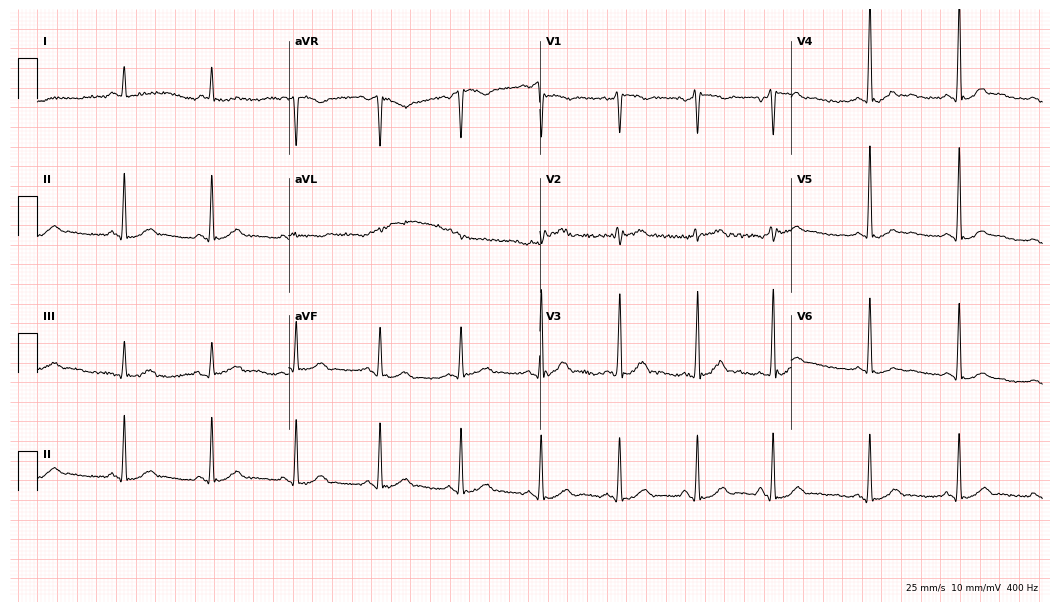
12-lead ECG from a male patient, 54 years old (10.2-second recording at 400 Hz). No first-degree AV block, right bundle branch block (RBBB), left bundle branch block (LBBB), sinus bradycardia, atrial fibrillation (AF) or sinus tachycardia recorded for this tracing.